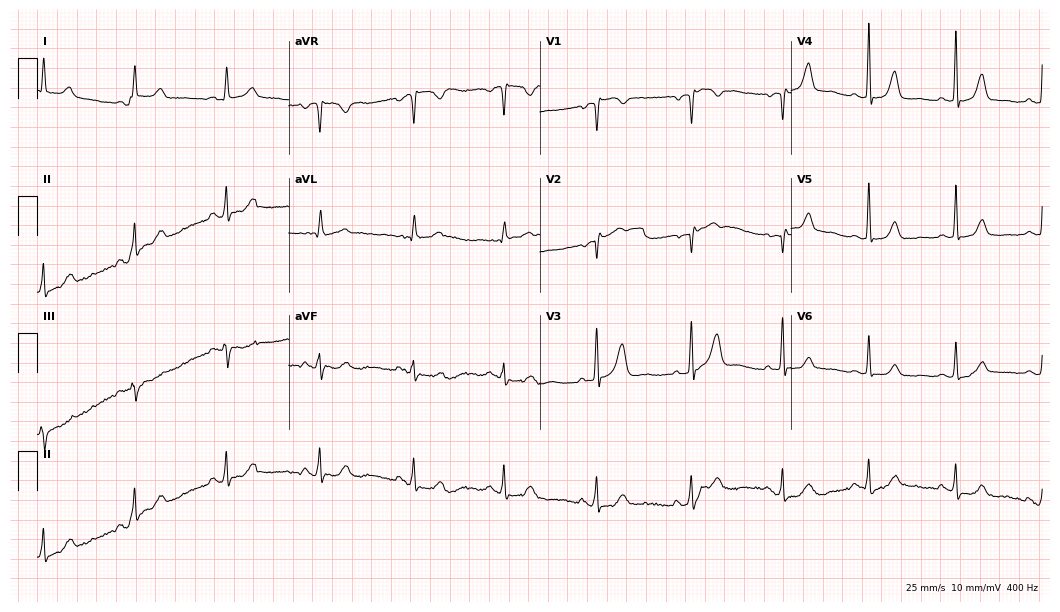
12-lead ECG (10.2-second recording at 400 Hz) from a female patient, 57 years old. Labelled as a normal ECG.